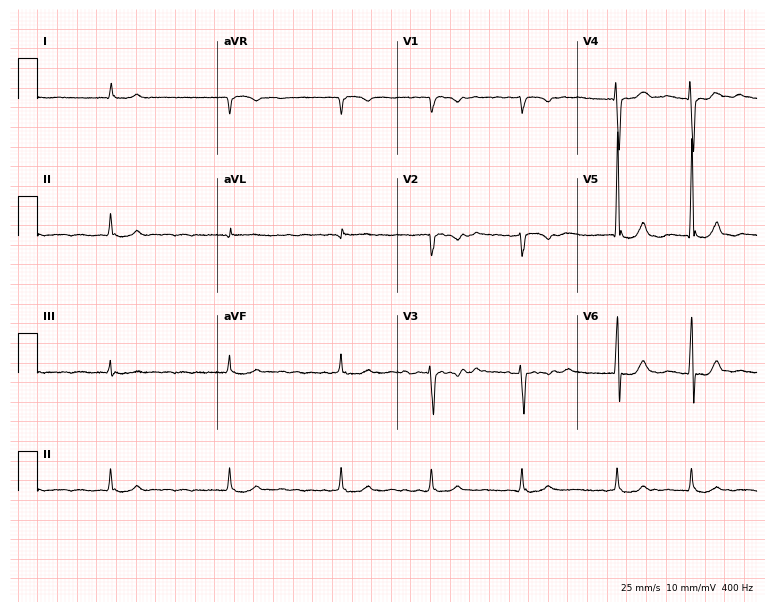
Resting 12-lead electrocardiogram. Patient: an 81-year-old man. The tracing shows atrial fibrillation.